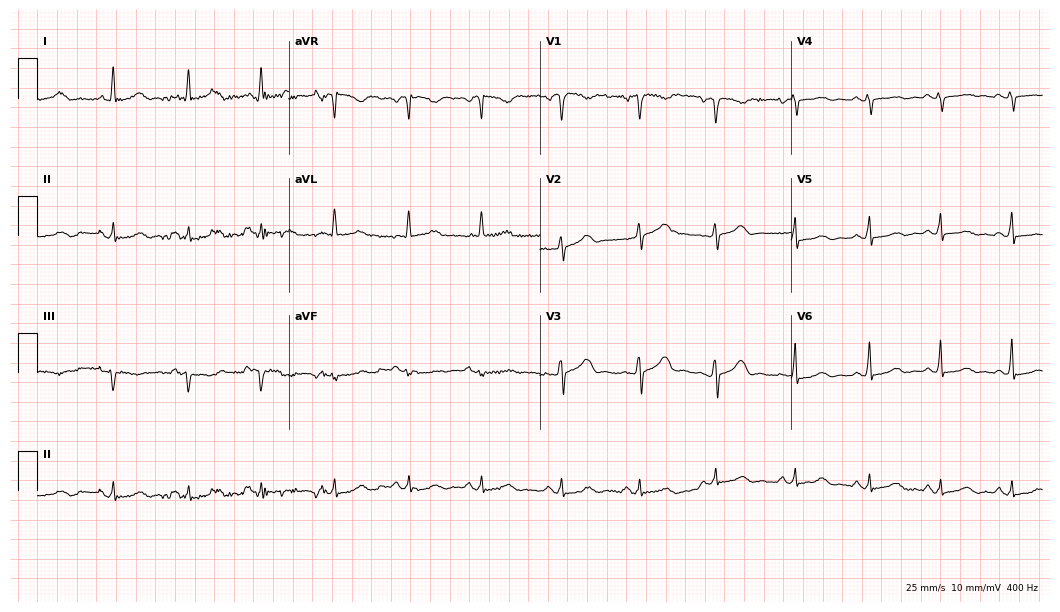
ECG — a woman, 48 years old. Screened for six findings — first-degree AV block, right bundle branch block (RBBB), left bundle branch block (LBBB), sinus bradycardia, atrial fibrillation (AF), sinus tachycardia — none is recorded. Findings outside these six are not listed.